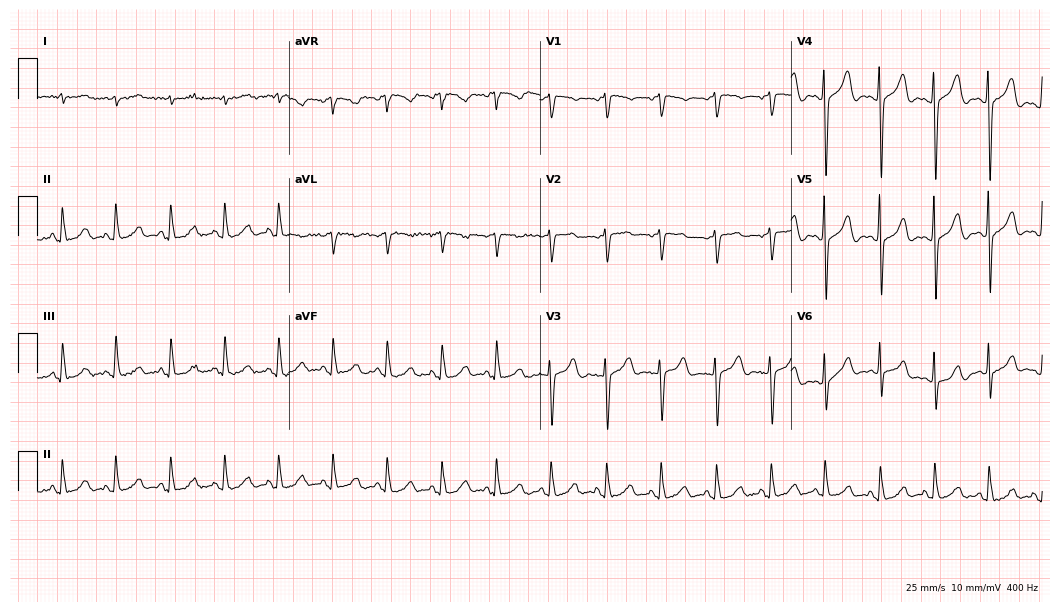
Standard 12-lead ECG recorded from a 51-year-old woman (10.2-second recording at 400 Hz). The tracing shows sinus tachycardia (a sinus rate of 100 beats per minute or more).